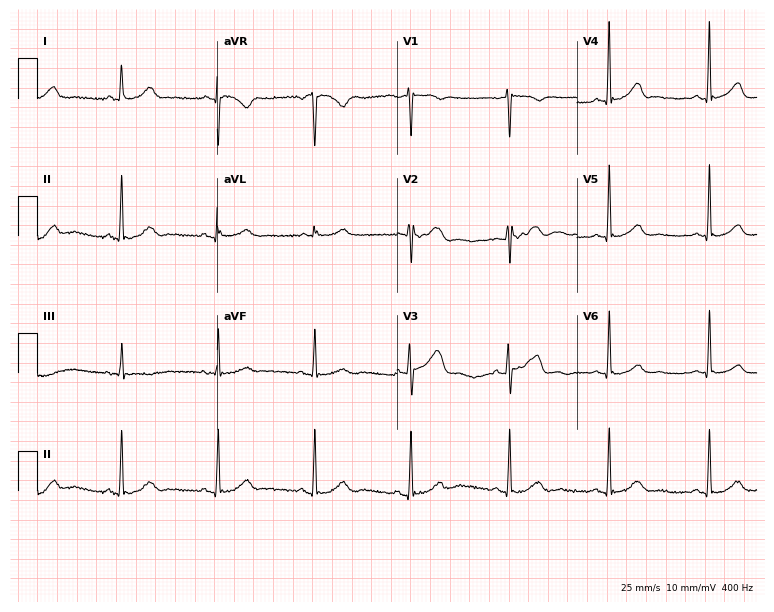
Electrocardiogram, a 56-year-old female. Of the six screened findings (first-degree AV block, right bundle branch block, left bundle branch block, sinus bradycardia, atrial fibrillation, sinus tachycardia), none is recorded. Other findings, if any, are not listed.